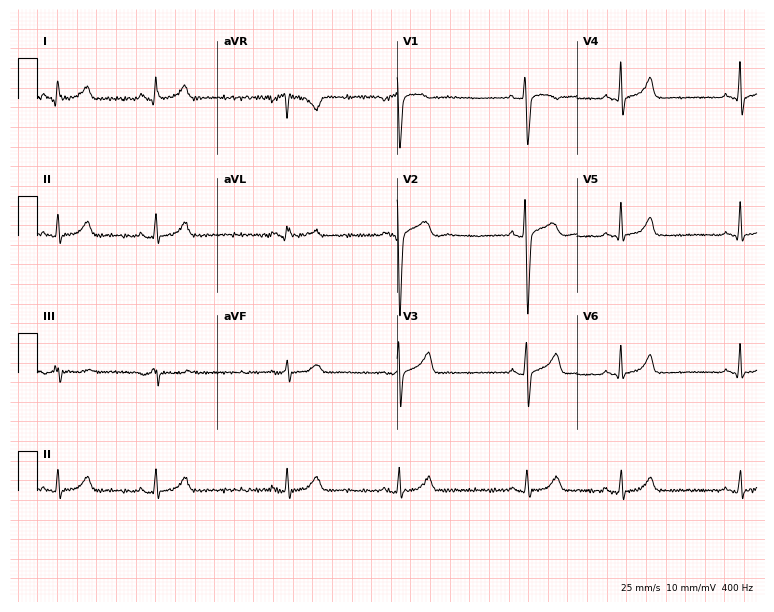
Electrocardiogram (7.3-second recording at 400 Hz), a female, 33 years old. Of the six screened findings (first-degree AV block, right bundle branch block, left bundle branch block, sinus bradycardia, atrial fibrillation, sinus tachycardia), none is recorded.